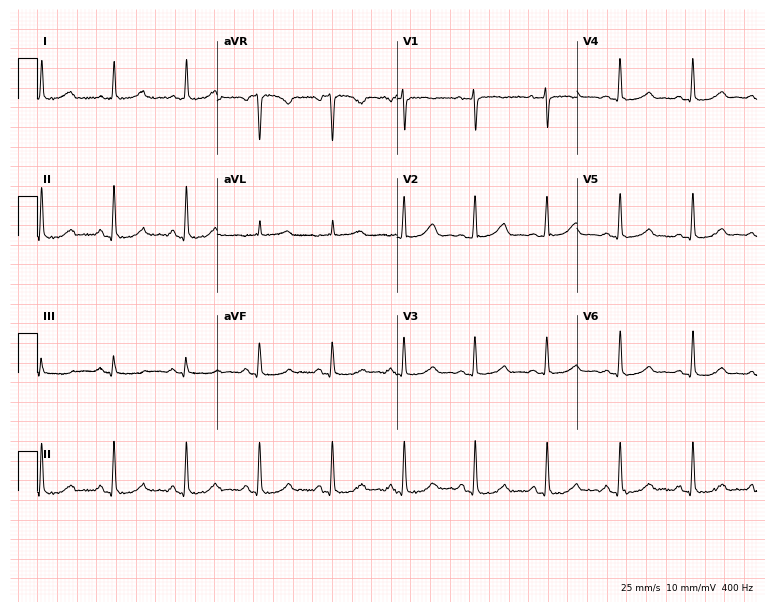
Resting 12-lead electrocardiogram (7.3-second recording at 400 Hz). Patient: a 46-year-old female. Read as a normal ECG.